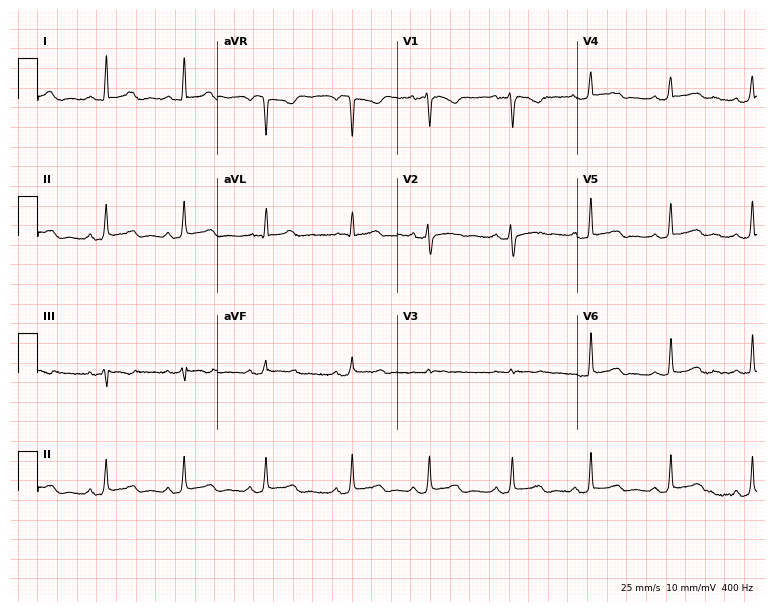
ECG (7.3-second recording at 400 Hz) — a 45-year-old female patient. Labelled as a normal ECG.